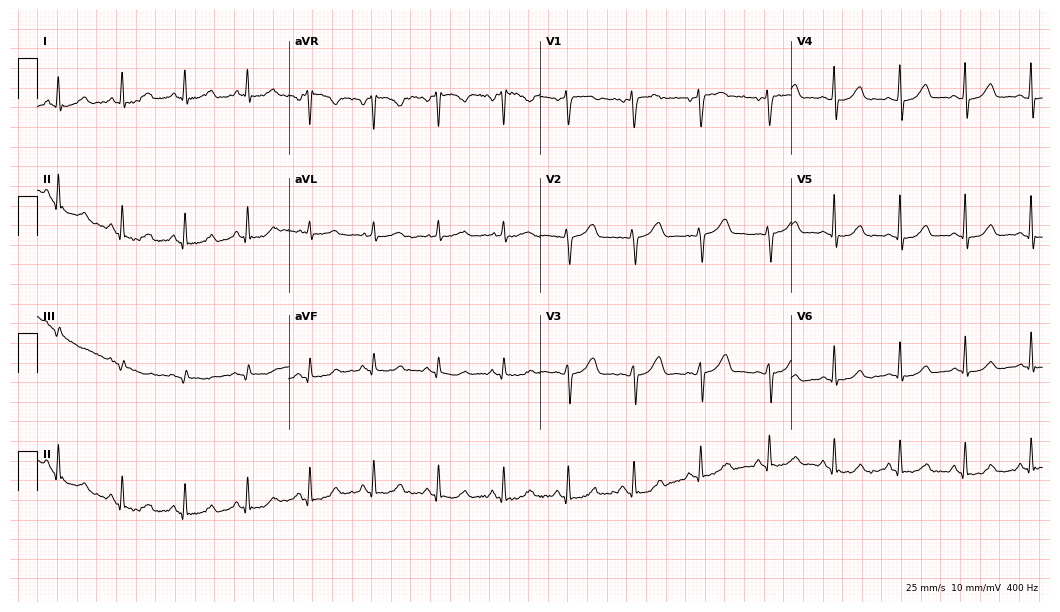
12-lead ECG from a 57-year-old female. Labelled as a normal ECG.